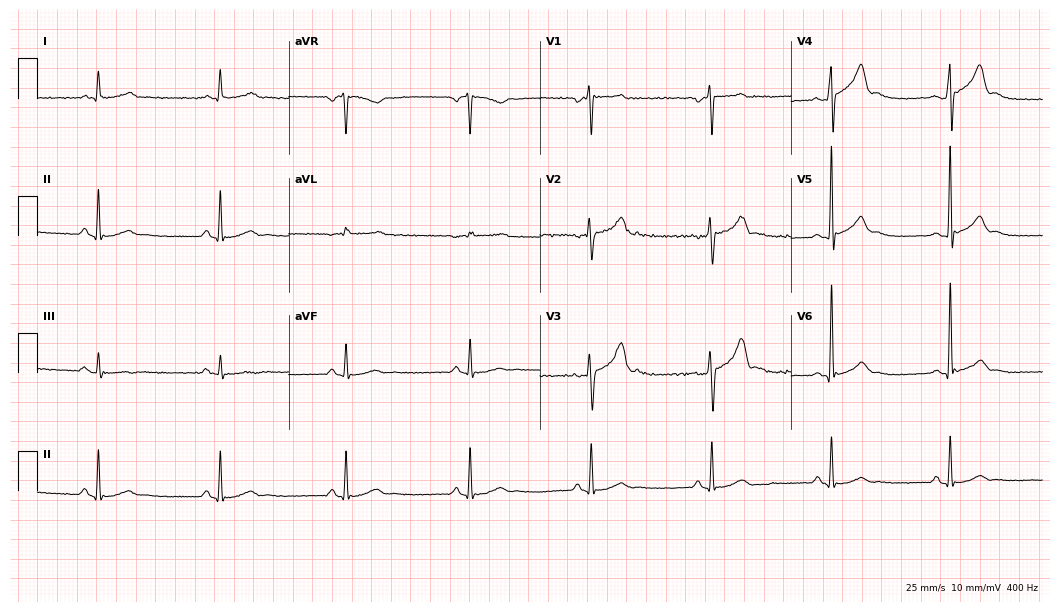
12-lead ECG from a man, 52 years old (10.2-second recording at 400 Hz). Recorded interpretation: within normal limits.